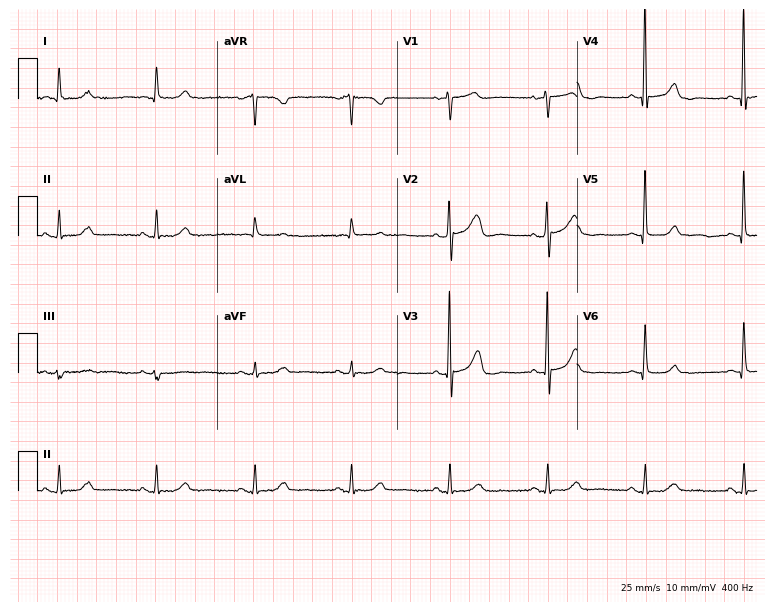
ECG (7.3-second recording at 400 Hz) — a female, 86 years old. Screened for six findings — first-degree AV block, right bundle branch block (RBBB), left bundle branch block (LBBB), sinus bradycardia, atrial fibrillation (AF), sinus tachycardia — none is recorded.